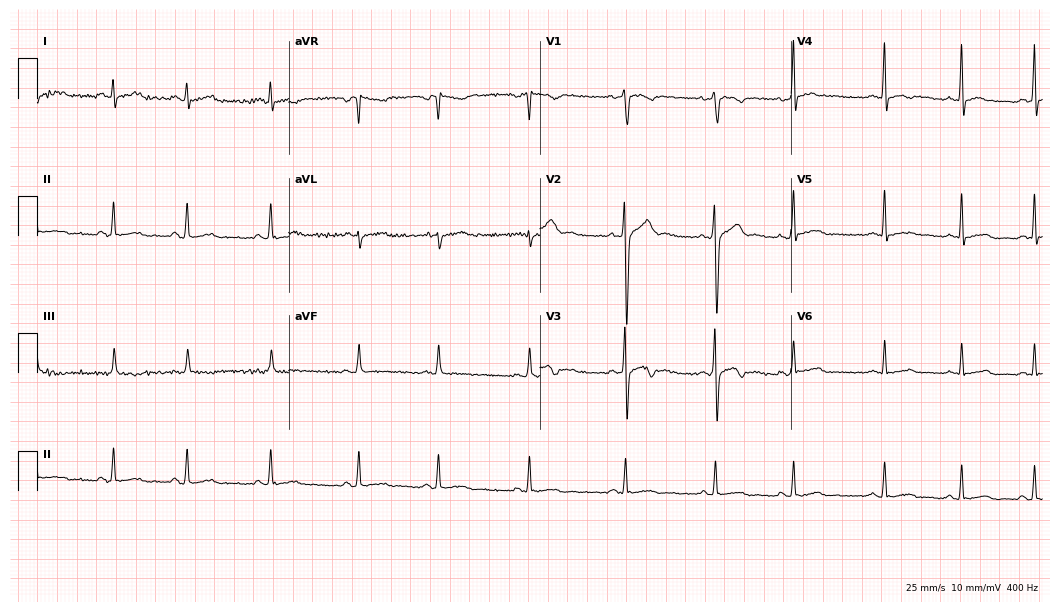
Electrocardiogram (10.2-second recording at 400 Hz), a 17-year-old male patient. Overall reading on record: normal ECG.